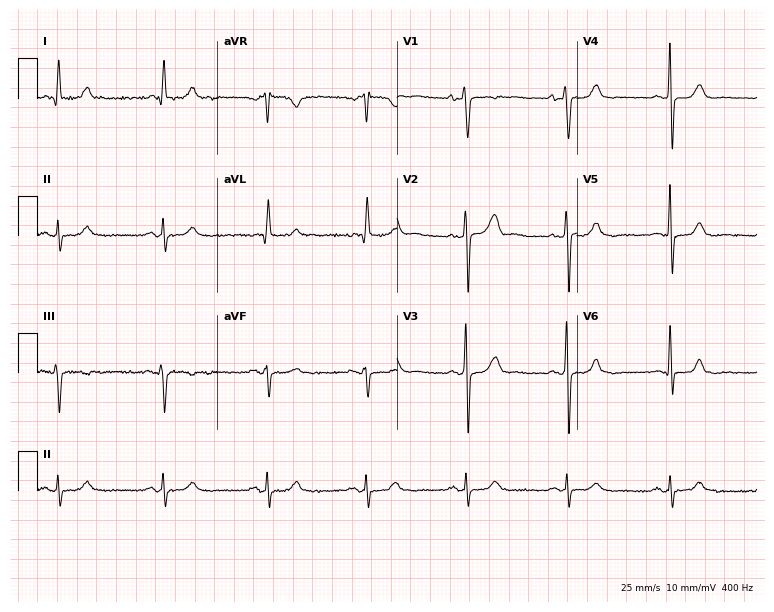
12-lead ECG from an 81-year-old male patient. Labelled as a normal ECG.